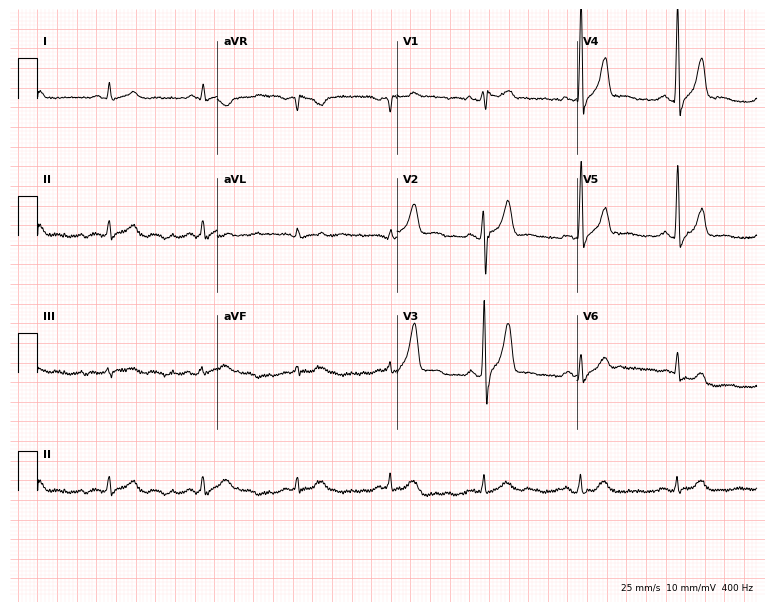
Resting 12-lead electrocardiogram. Patient: a 49-year-old male. Read as a normal ECG.